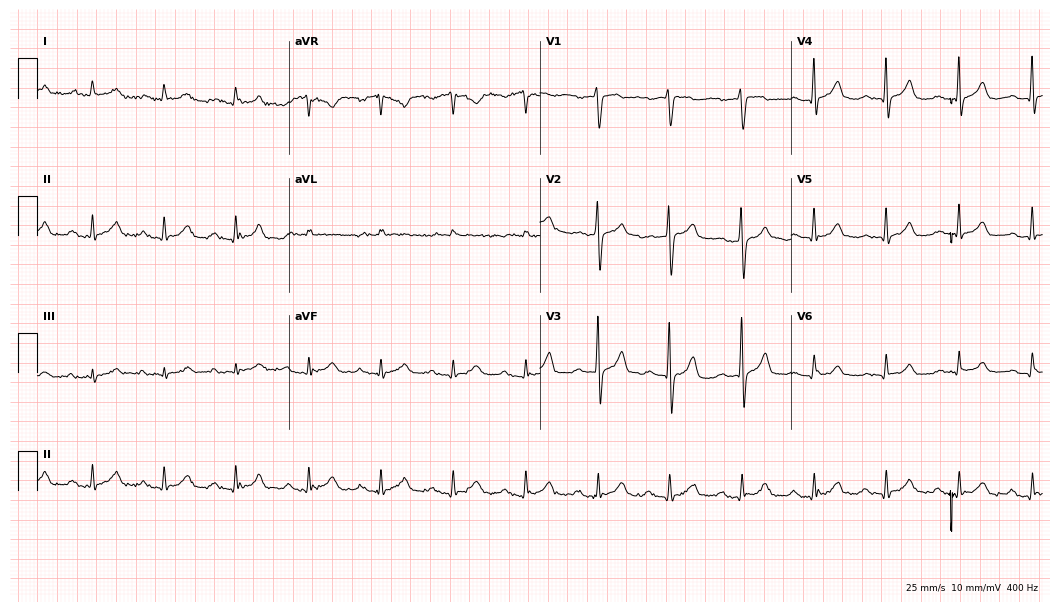
Standard 12-lead ECG recorded from a 74-year-old man. The tracing shows first-degree AV block.